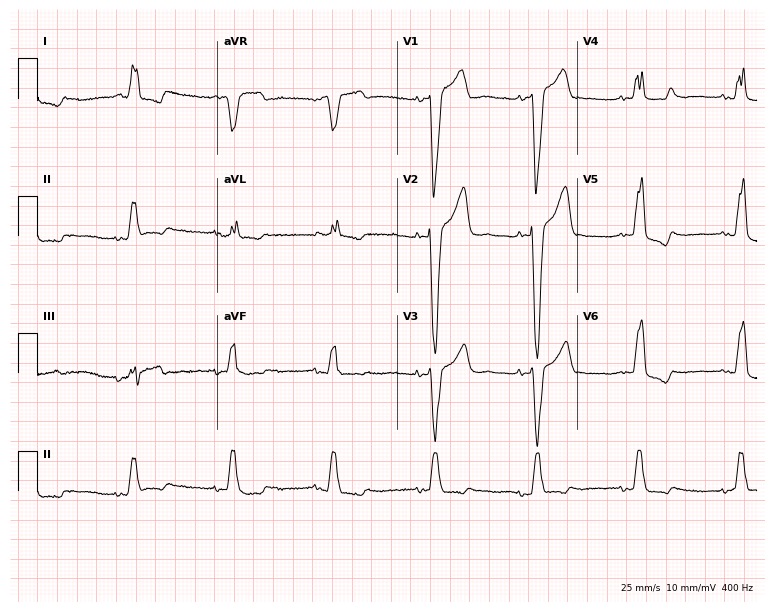
ECG — a 68-year-old man. Findings include left bundle branch block.